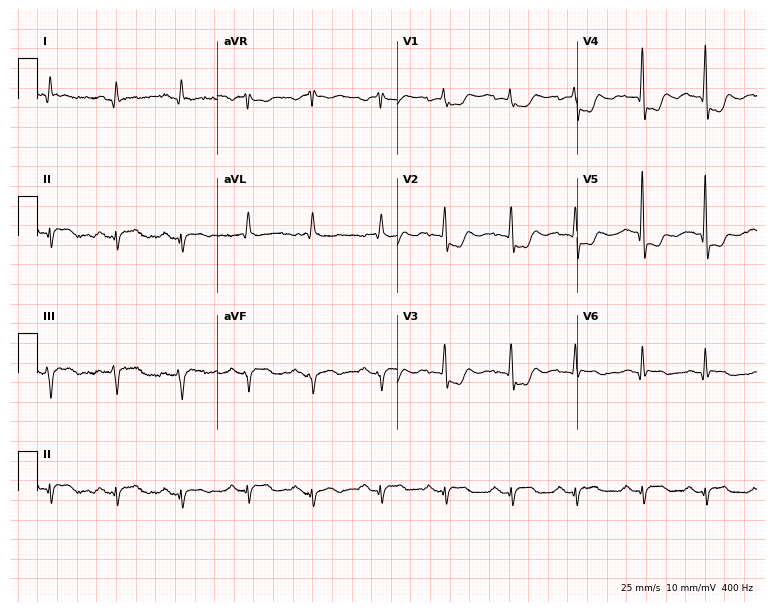
Resting 12-lead electrocardiogram. Patient: an 85-year-old male. None of these six findings is recorded: first-degree AV block, right bundle branch block, left bundle branch block, sinus bradycardia, atrial fibrillation, sinus tachycardia. Findings outside these six are not listed.